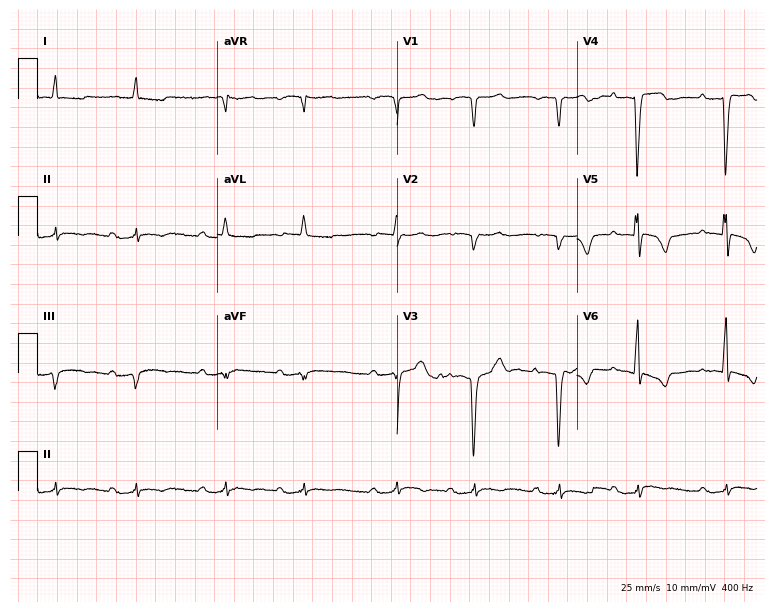
Standard 12-lead ECG recorded from a 79-year-old male patient. The tracing shows first-degree AV block.